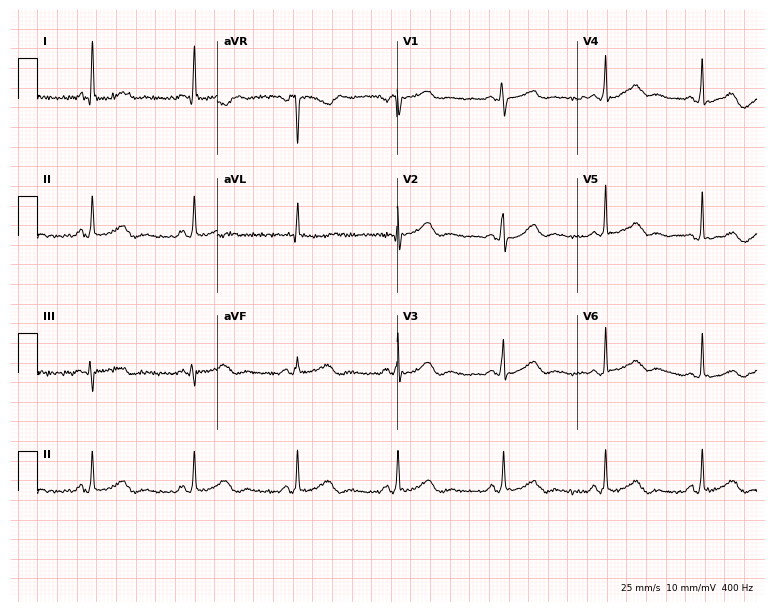
Resting 12-lead electrocardiogram. Patient: a female, 46 years old. None of these six findings is recorded: first-degree AV block, right bundle branch block, left bundle branch block, sinus bradycardia, atrial fibrillation, sinus tachycardia.